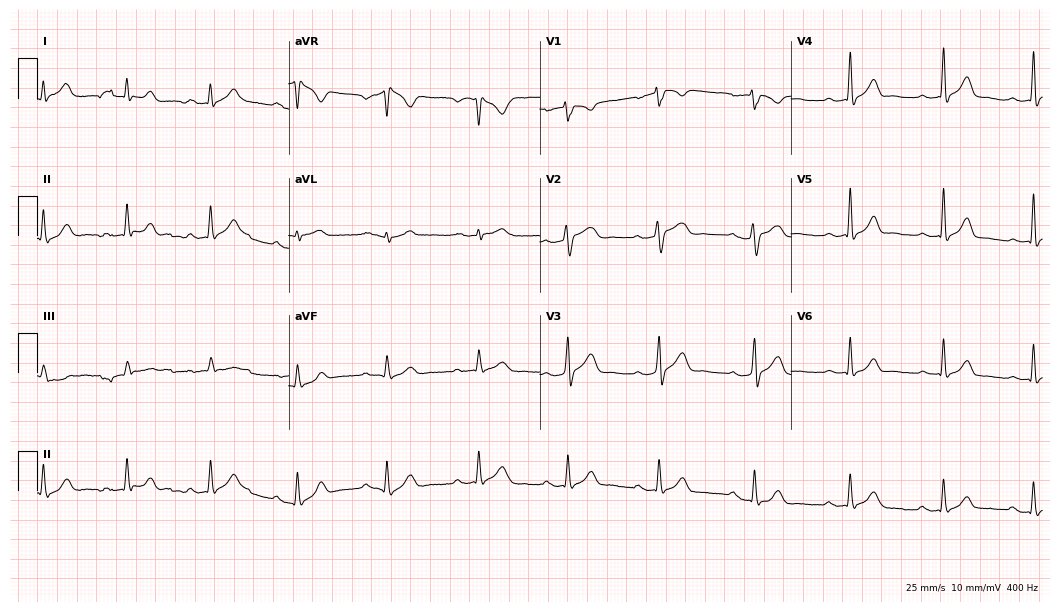
ECG (10.2-second recording at 400 Hz) — a male, 34 years old. Screened for six findings — first-degree AV block, right bundle branch block, left bundle branch block, sinus bradycardia, atrial fibrillation, sinus tachycardia — none is recorded.